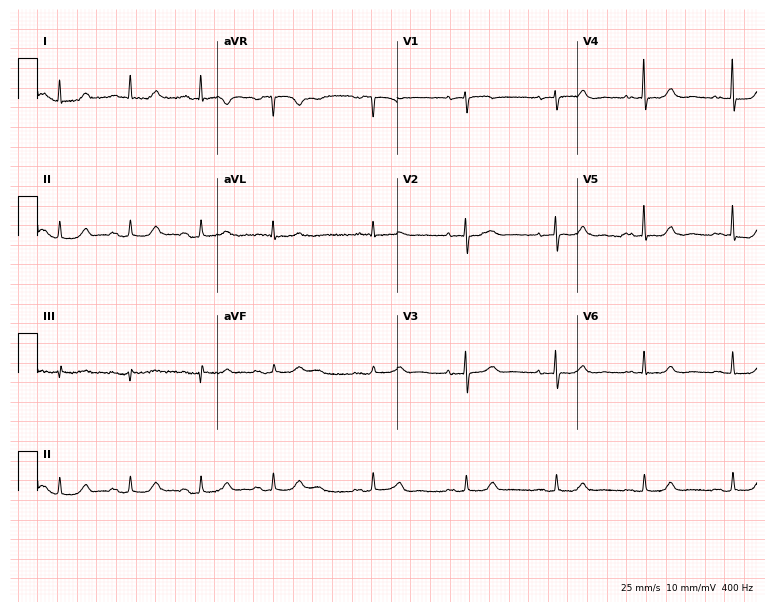
Standard 12-lead ECG recorded from a 71-year-old female patient (7.3-second recording at 400 Hz). None of these six findings is recorded: first-degree AV block, right bundle branch block (RBBB), left bundle branch block (LBBB), sinus bradycardia, atrial fibrillation (AF), sinus tachycardia. Other findings, if any, are not listed.